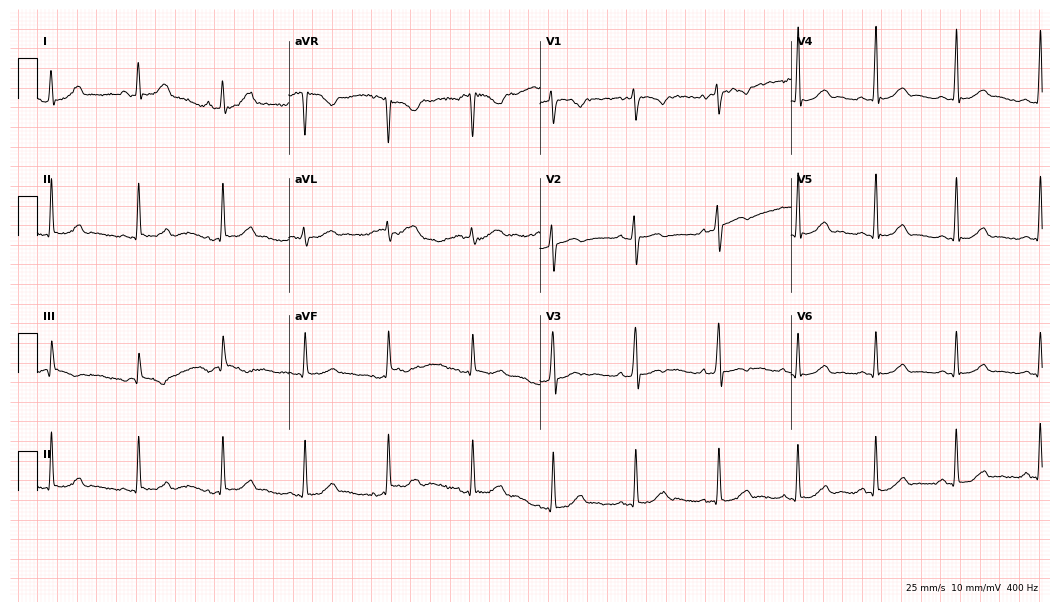
Resting 12-lead electrocardiogram (10.2-second recording at 400 Hz). Patient: a woman, 29 years old. Read as a normal ECG.